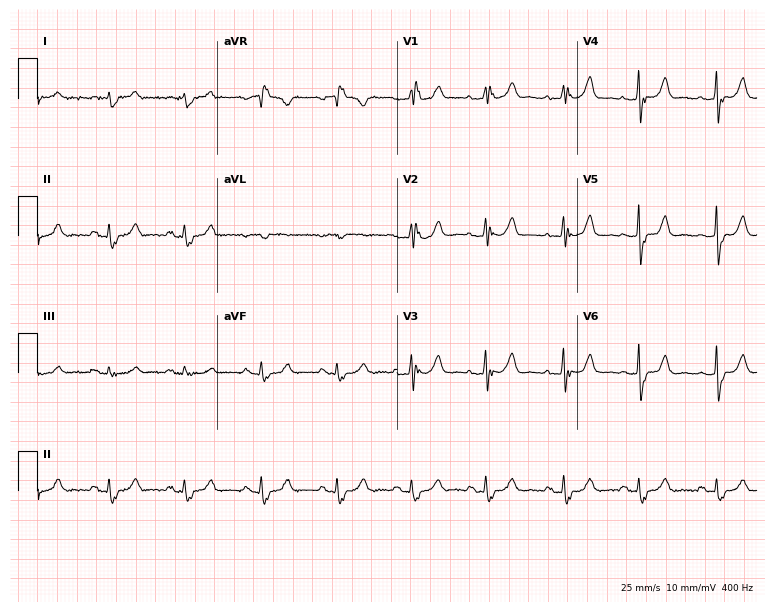
Electrocardiogram (7.3-second recording at 400 Hz), a 77-year-old male. Interpretation includes right bundle branch block (RBBB).